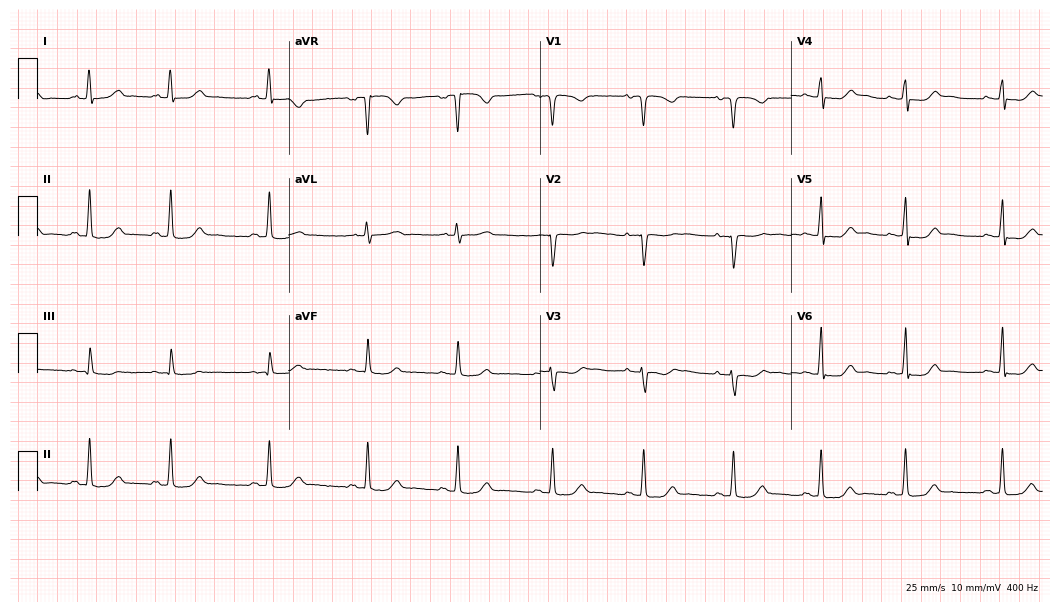
Resting 12-lead electrocardiogram (10.2-second recording at 400 Hz). Patient: a 39-year-old woman. Read as a normal ECG.